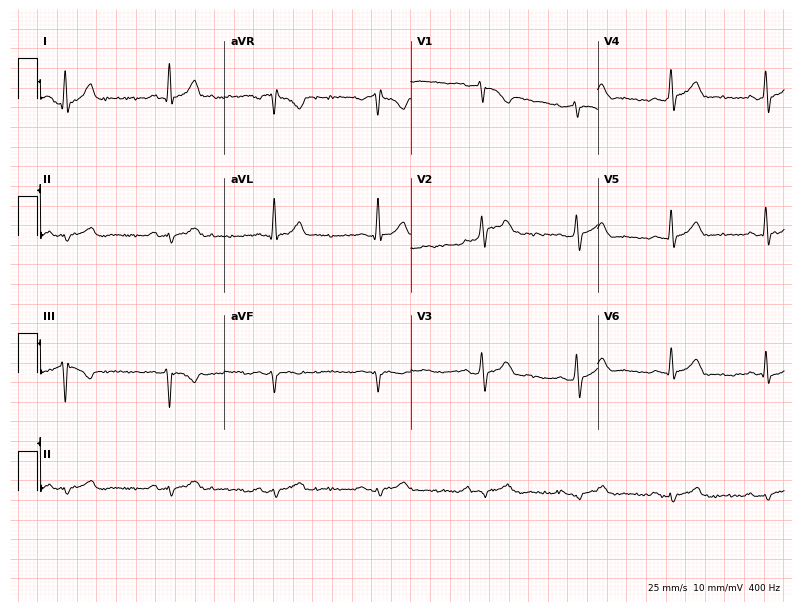
12-lead ECG from a 37-year-old man (7.6-second recording at 400 Hz). No first-degree AV block, right bundle branch block (RBBB), left bundle branch block (LBBB), sinus bradycardia, atrial fibrillation (AF) or sinus tachycardia recorded for this tracing. Other findings, if any, are not listed.